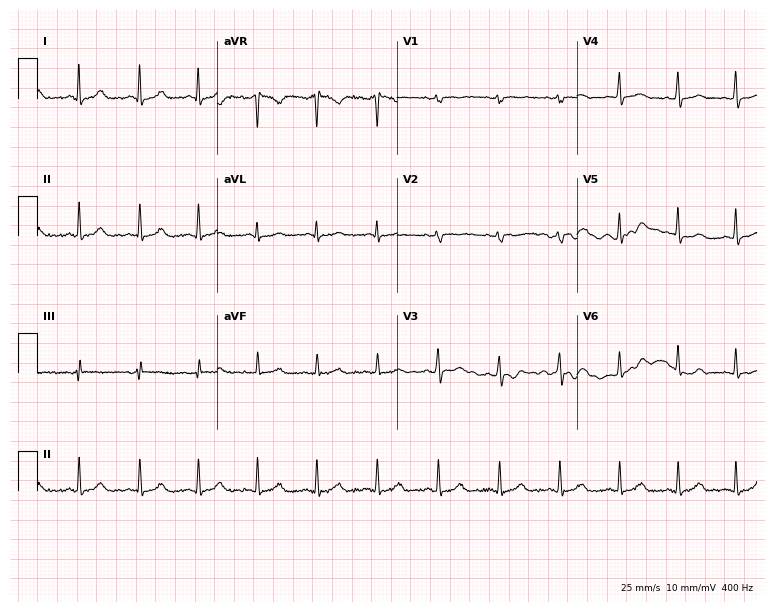
Standard 12-lead ECG recorded from a female patient, 33 years old (7.3-second recording at 400 Hz). None of these six findings is recorded: first-degree AV block, right bundle branch block (RBBB), left bundle branch block (LBBB), sinus bradycardia, atrial fibrillation (AF), sinus tachycardia.